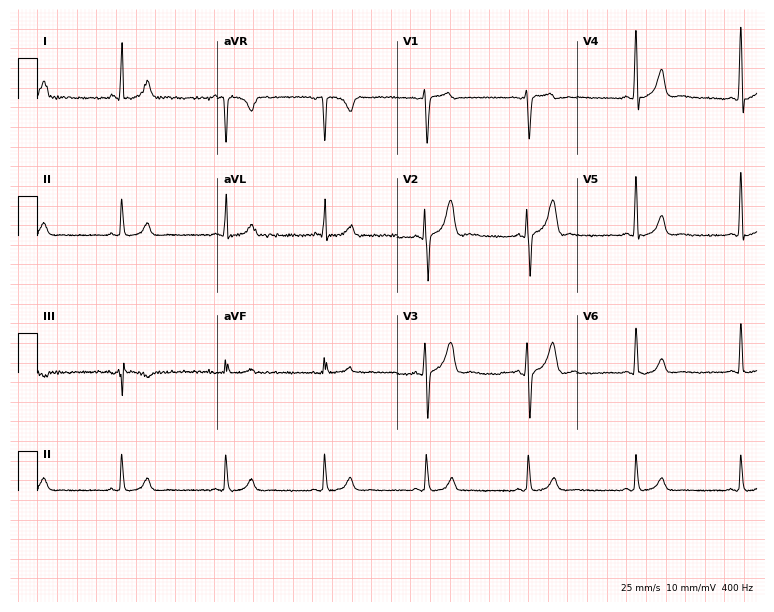
Resting 12-lead electrocardiogram (7.3-second recording at 400 Hz). Patient: a 30-year-old male. None of these six findings is recorded: first-degree AV block, right bundle branch block, left bundle branch block, sinus bradycardia, atrial fibrillation, sinus tachycardia. Other findings, if any, are not listed.